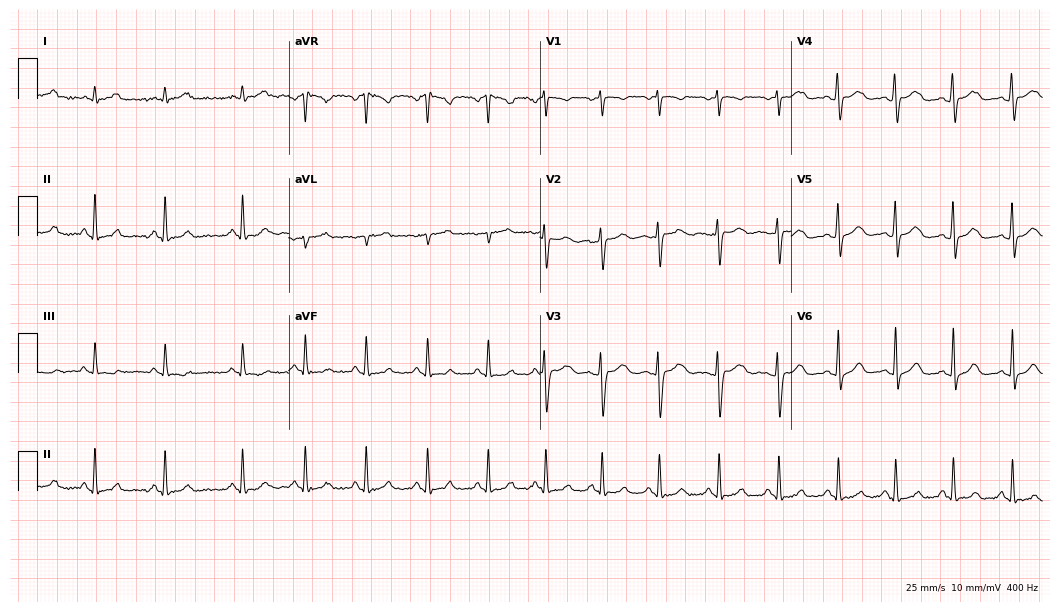
Standard 12-lead ECG recorded from an 18-year-old female. None of these six findings is recorded: first-degree AV block, right bundle branch block, left bundle branch block, sinus bradycardia, atrial fibrillation, sinus tachycardia.